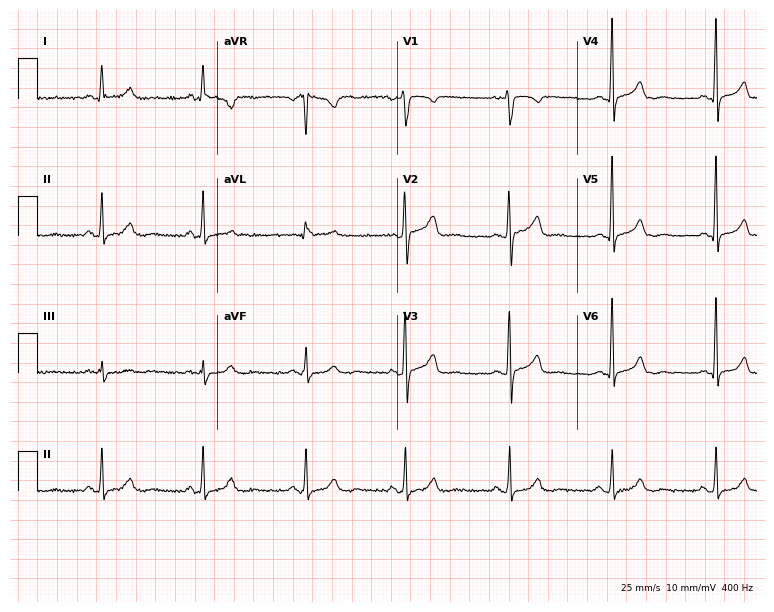
ECG (7.3-second recording at 400 Hz) — a woman, 42 years old. Screened for six findings — first-degree AV block, right bundle branch block, left bundle branch block, sinus bradycardia, atrial fibrillation, sinus tachycardia — none is recorded.